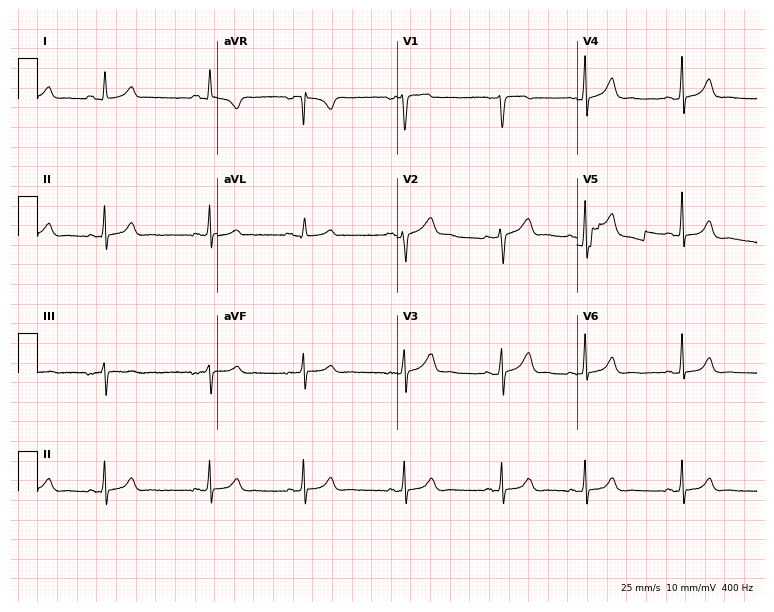
Resting 12-lead electrocardiogram. Patient: an 18-year-old woman. Read as a normal ECG.